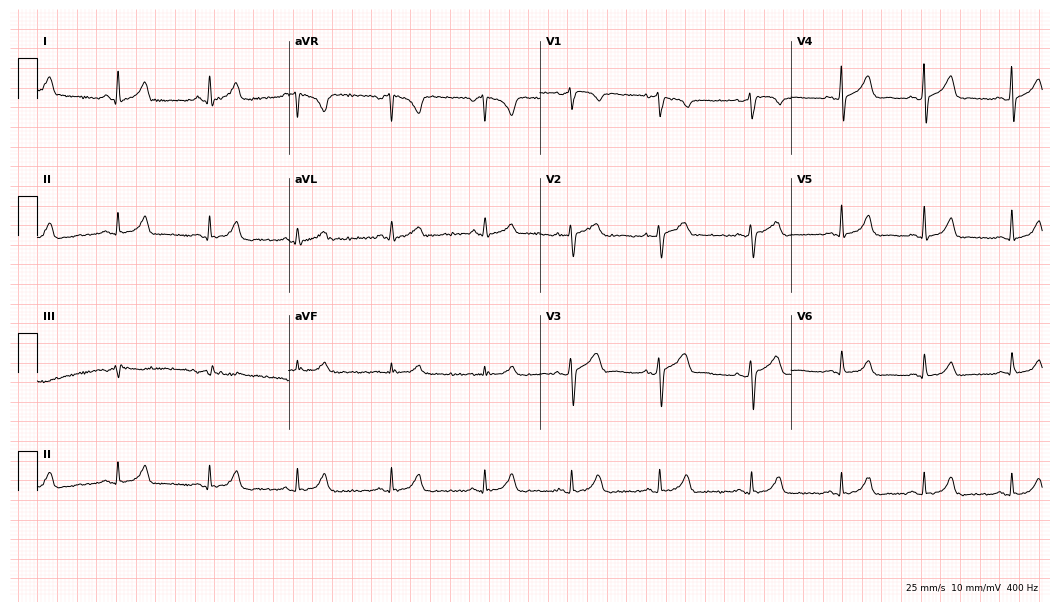
Resting 12-lead electrocardiogram (10.2-second recording at 400 Hz). Patient: a female, 23 years old. Read as a normal ECG.